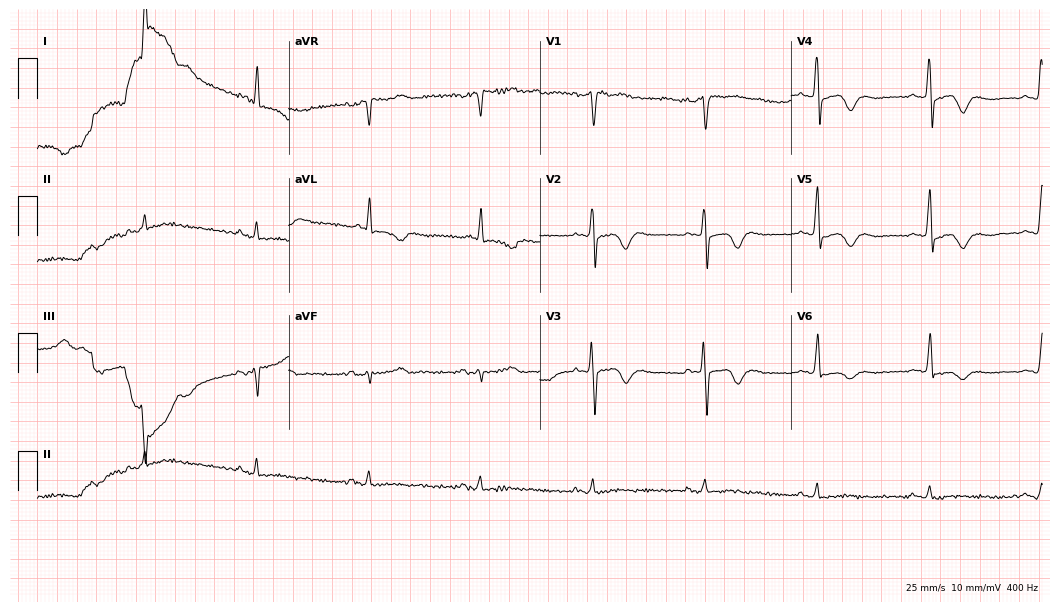
12-lead ECG from a 75-year-old man (10.2-second recording at 400 Hz). No first-degree AV block, right bundle branch block (RBBB), left bundle branch block (LBBB), sinus bradycardia, atrial fibrillation (AF) or sinus tachycardia recorded for this tracing.